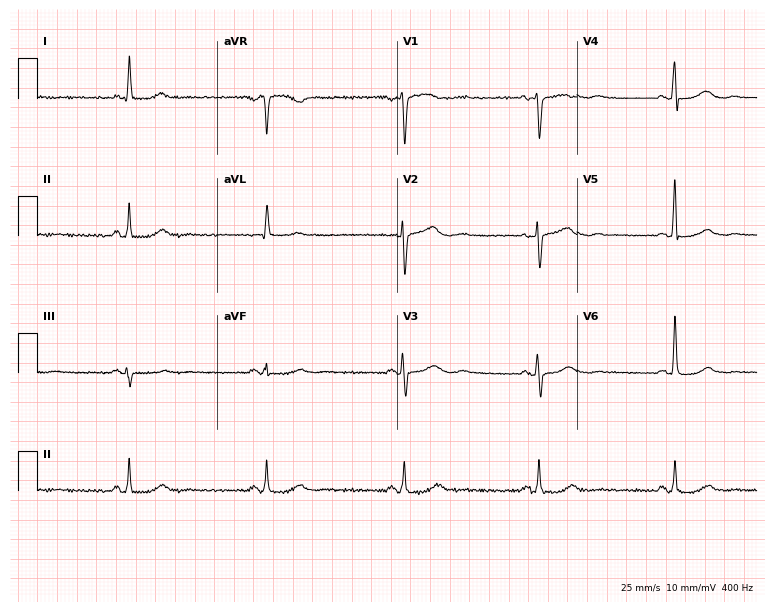
12-lead ECG from a woman, 78 years old. Findings include sinus bradycardia (a sinus rate of 50 beats per minute or less).